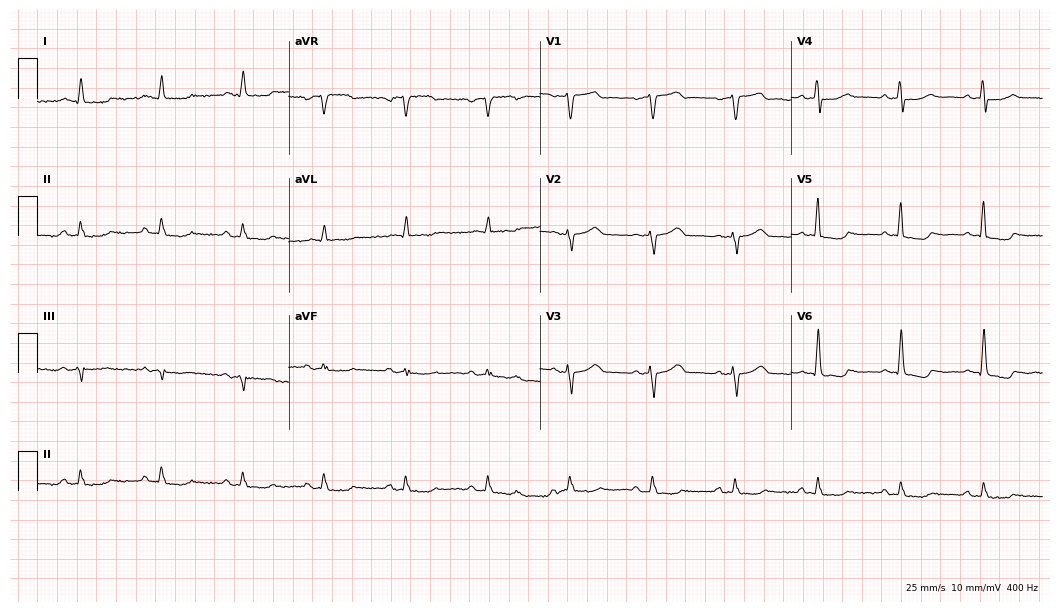
12-lead ECG from an 80-year-old male (10.2-second recording at 400 Hz). No first-degree AV block, right bundle branch block, left bundle branch block, sinus bradycardia, atrial fibrillation or sinus tachycardia recorded for this tracing.